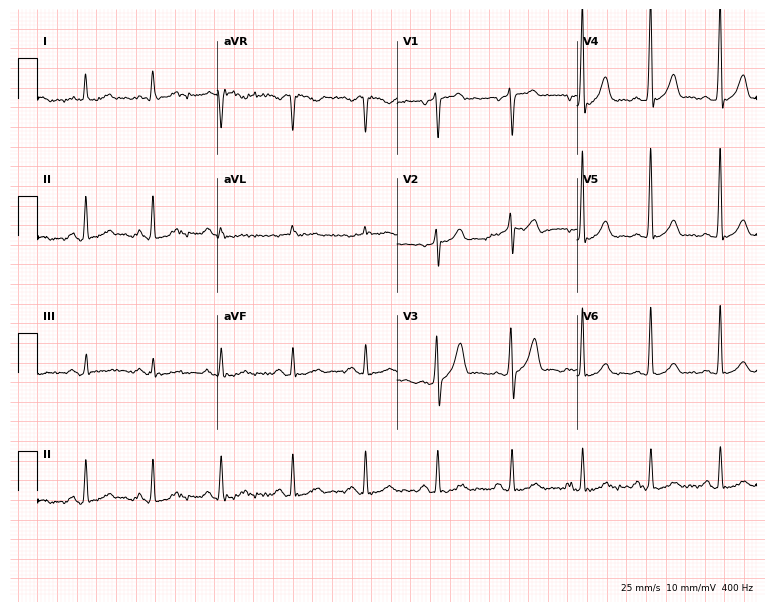
Standard 12-lead ECG recorded from a 60-year-old male patient (7.3-second recording at 400 Hz). None of these six findings is recorded: first-degree AV block, right bundle branch block (RBBB), left bundle branch block (LBBB), sinus bradycardia, atrial fibrillation (AF), sinus tachycardia. Other findings, if any, are not listed.